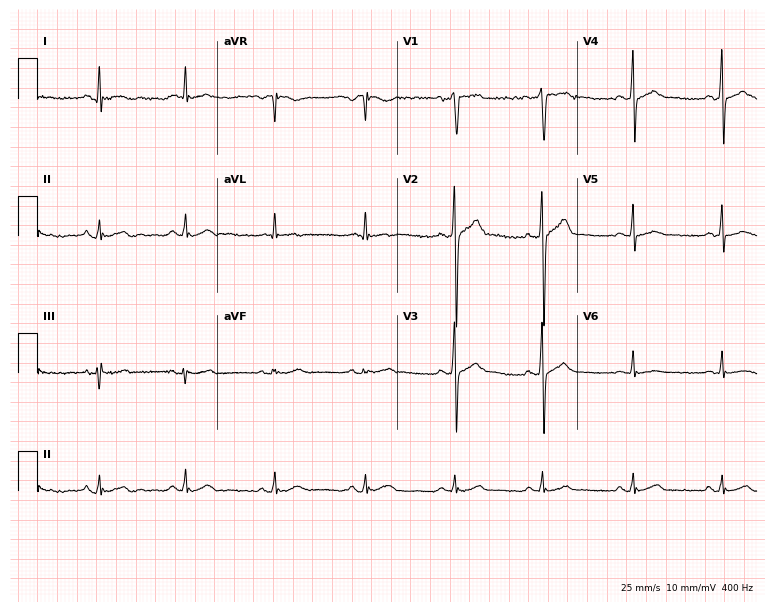
12-lead ECG from a male, 39 years old. Labelled as a normal ECG.